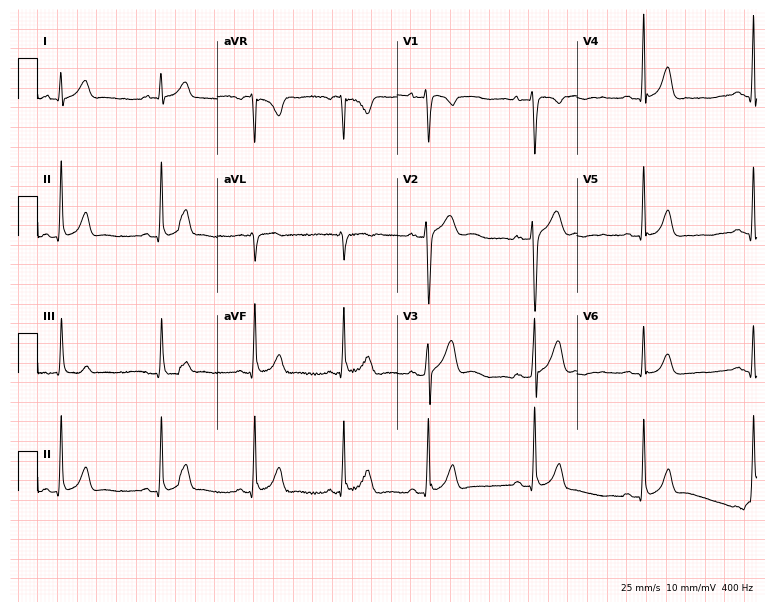
Electrocardiogram (7.3-second recording at 400 Hz), a male, 34 years old. Overall reading on record: normal ECG.